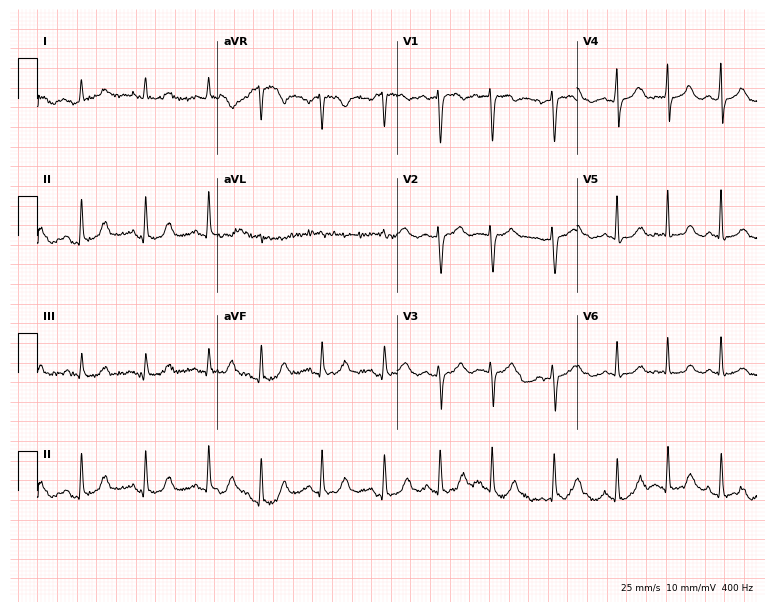
Standard 12-lead ECG recorded from a woman, 67 years old (7.3-second recording at 400 Hz). None of these six findings is recorded: first-degree AV block, right bundle branch block, left bundle branch block, sinus bradycardia, atrial fibrillation, sinus tachycardia. Only these six findings were labelled.